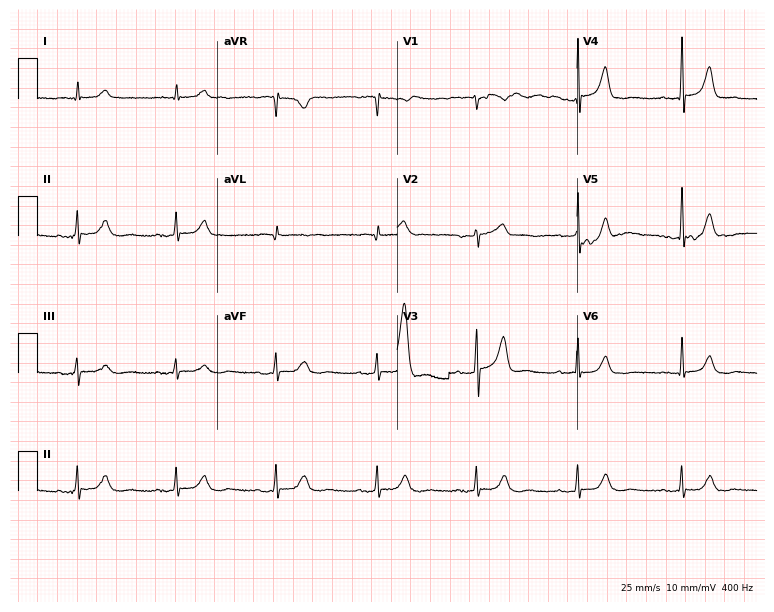
12-lead ECG from a male, 85 years old. Labelled as a normal ECG.